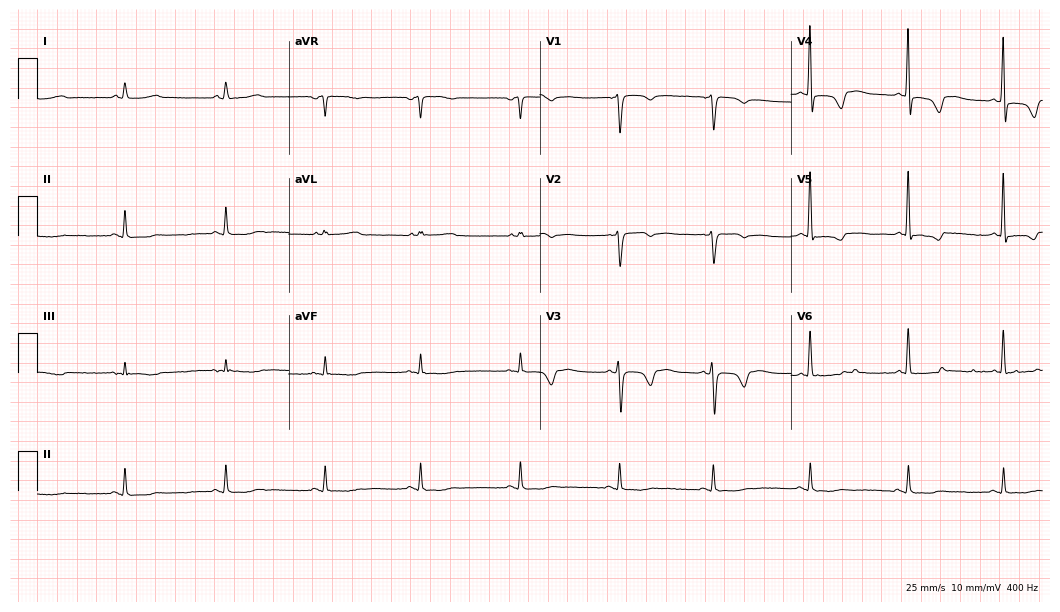
ECG (10.2-second recording at 400 Hz) — a 56-year-old female patient. Screened for six findings — first-degree AV block, right bundle branch block (RBBB), left bundle branch block (LBBB), sinus bradycardia, atrial fibrillation (AF), sinus tachycardia — none is recorded.